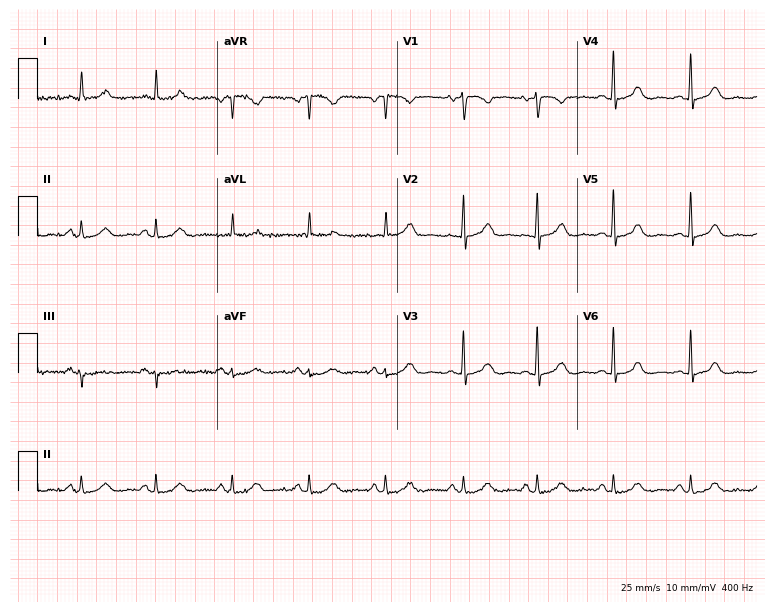
Standard 12-lead ECG recorded from a female patient, 47 years old. None of these six findings is recorded: first-degree AV block, right bundle branch block (RBBB), left bundle branch block (LBBB), sinus bradycardia, atrial fibrillation (AF), sinus tachycardia.